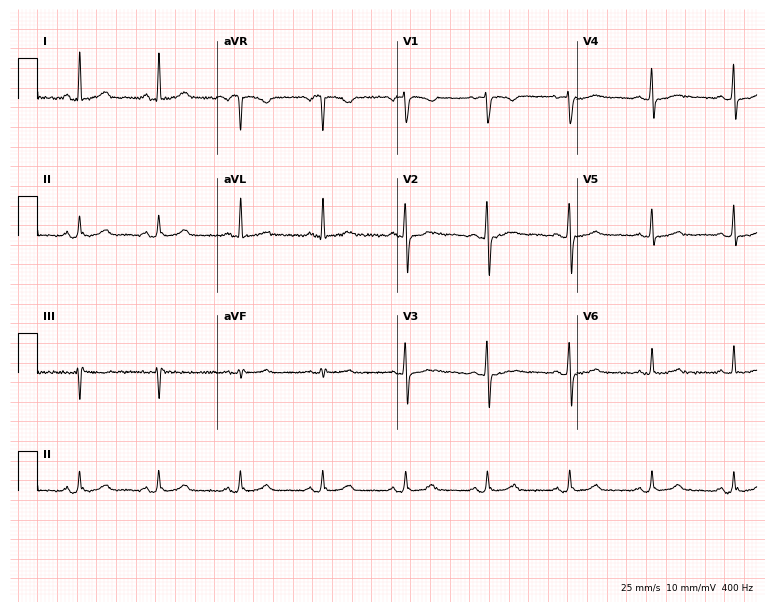
Electrocardiogram (7.3-second recording at 400 Hz), a 49-year-old woman. Of the six screened findings (first-degree AV block, right bundle branch block, left bundle branch block, sinus bradycardia, atrial fibrillation, sinus tachycardia), none is recorded. Findings outside these six are not listed.